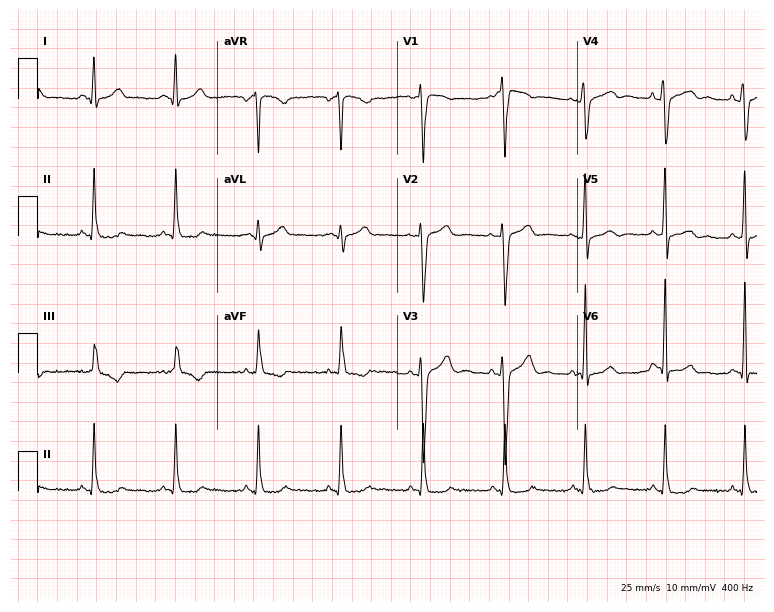
12-lead ECG (7.3-second recording at 400 Hz) from a 44-year-old man. Screened for six findings — first-degree AV block, right bundle branch block, left bundle branch block, sinus bradycardia, atrial fibrillation, sinus tachycardia — none is recorded. Other findings, if any, are not listed.